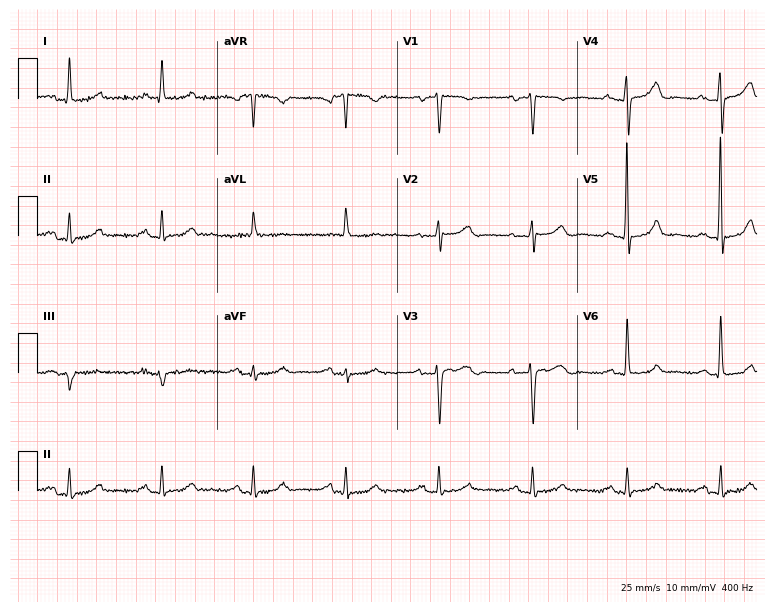
12-lead ECG (7.3-second recording at 400 Hz) from a female patient, 80 years old. Findings include first-degree AV block.